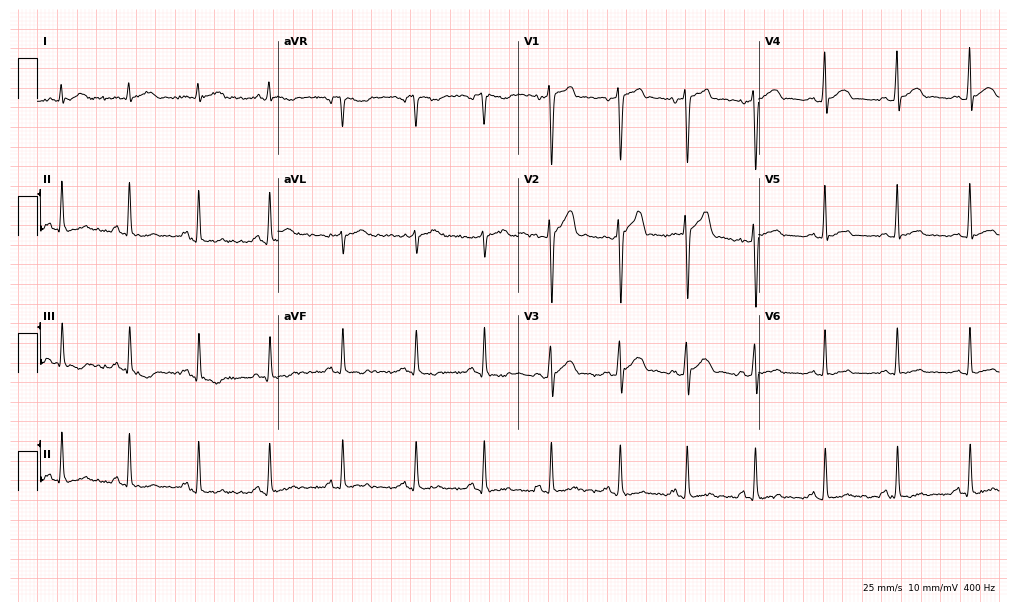
12-lead ECG from a female patient, 79 years old. No first-degree AV block, right bundle branch block, left bundle branch block, sinus bradycardia, atrial fibrillation or sinus tachycardia recorded for this tracing.